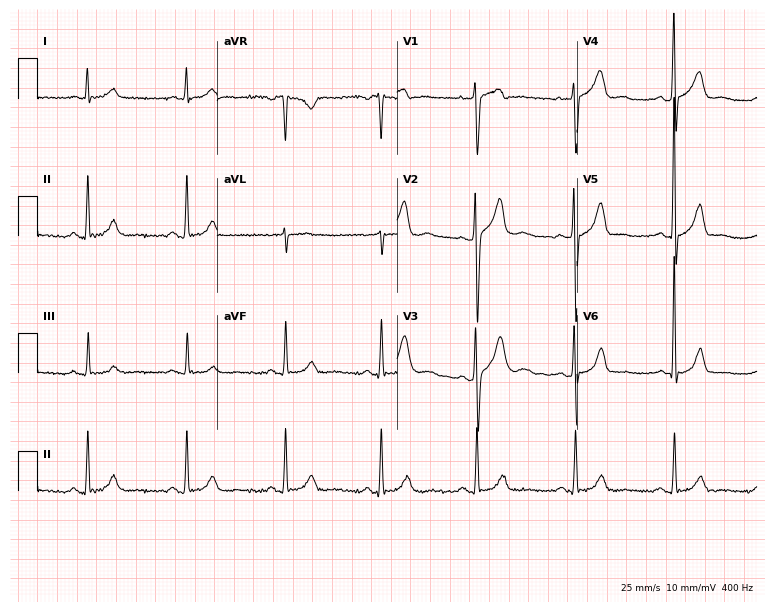
12-lead ECG from a male, 50 years old. No first-degree AV block, right bundle branch block, left bundle branch block, sinus bradycardia, atrial fibrillation or sinus tachycardia recorded for this tracing.